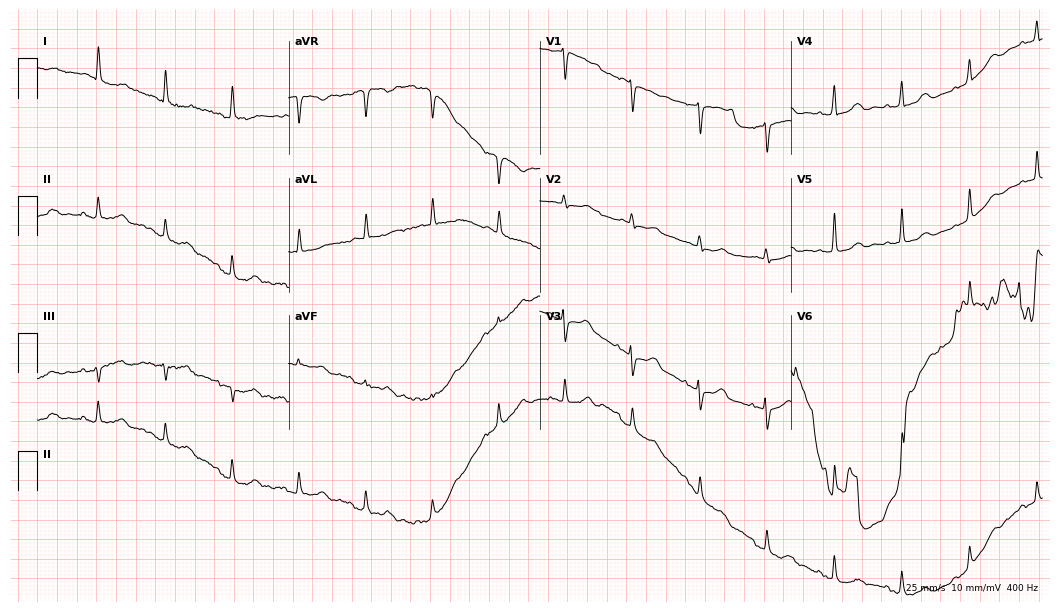
12-lead ECG from an 81-year-old female (10.2-second recording at 400 Hz). No first-degree AV block, right bundle branch block, left bundle branch block, sinus bradycardia, atrial fibrillation or sinus tachycardia recorded for this tracing.